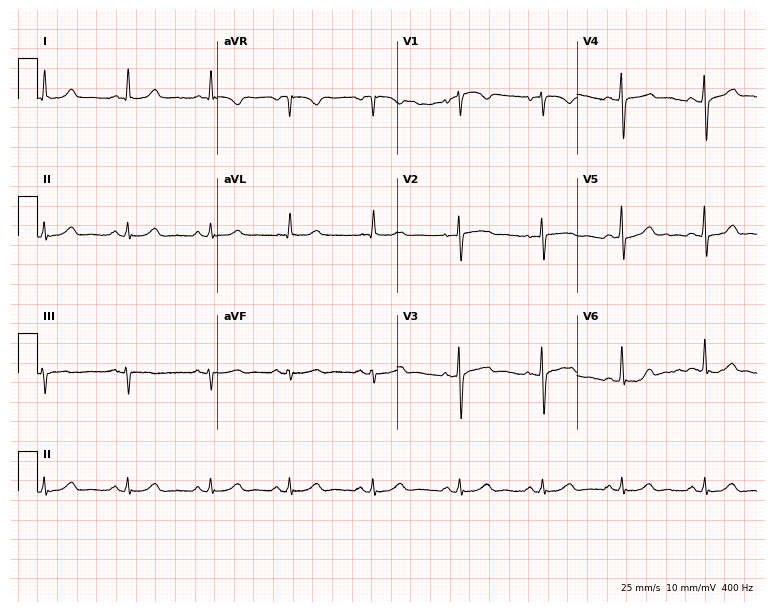
12-lead ECG (7.3-second recording at 400 Hz) from a female, 70 years old. Screened for six findings — first-degree AV block, right bundle branch block, left bundle branch block, sinus bradycardia, atrial fibrillation, sinus tachycardia — none is recorded. Only these six findings were labelled.